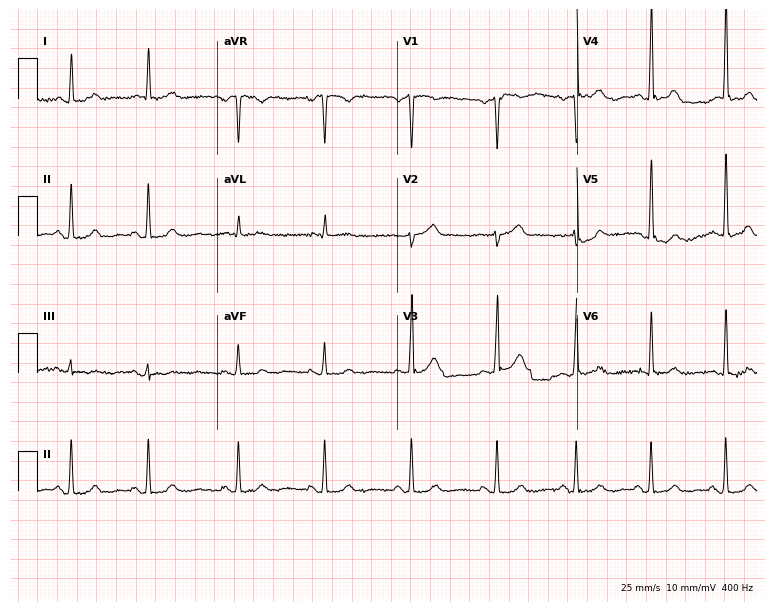
Resting 12-lead electrocardiogram. Patient: a man, 45 years old. Read as a normal ECG.